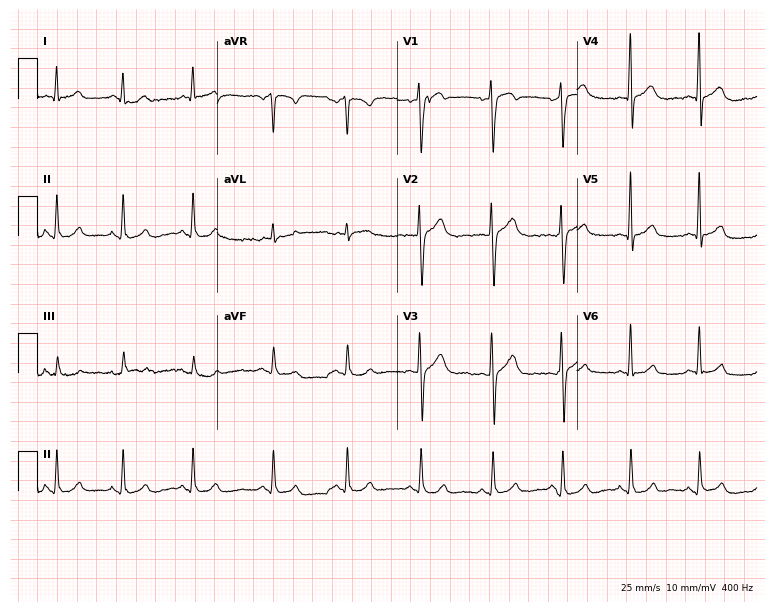
Electrocardiogram, a male patient, 48 years old. Of the six screened findings (first-degree AV block, right bundle branch block, left bundle branch block, sinus bradycardia, atrial fibrillation, sinus tachycardia), none is recorded. Findings outside these six are not listed.